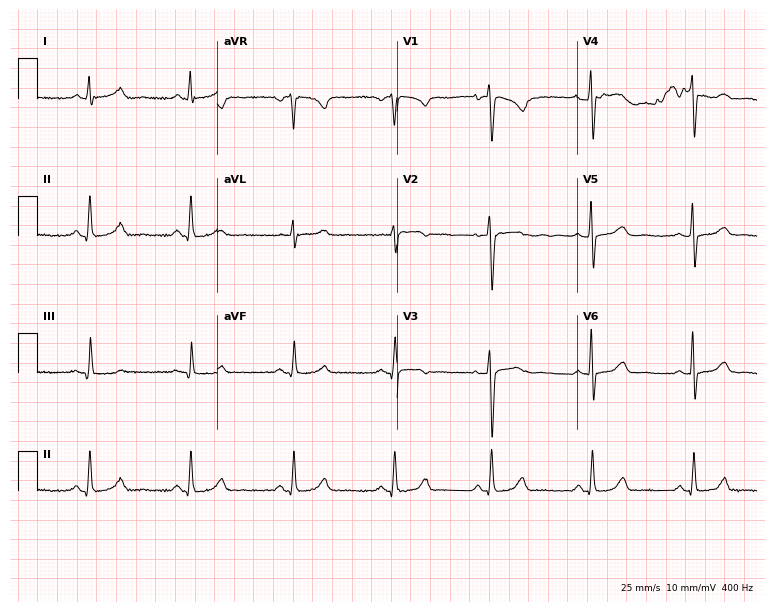
12-lead ECG (7.3-second recording at 400 Hz) from a 54-year-old female. Labelled as a normal ECG.